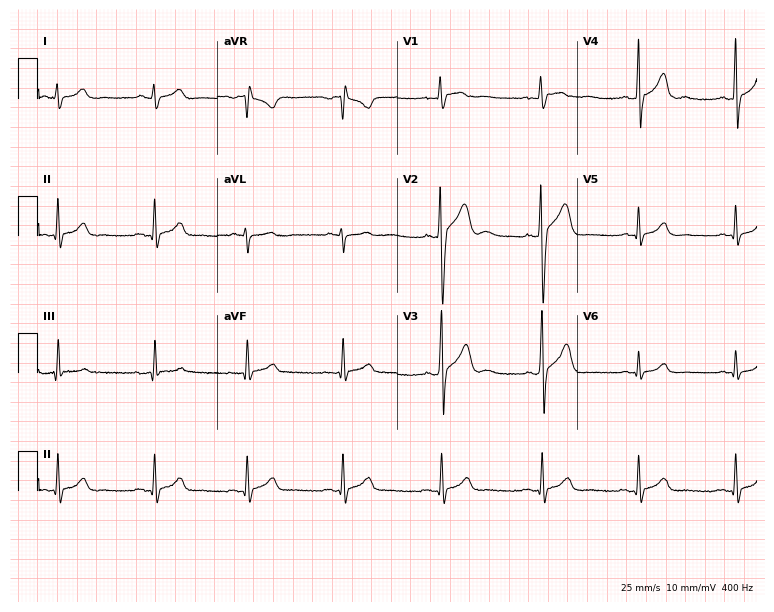
Electrocardiogram, a male, 22 years old. Overall reading on record: normal ECG.